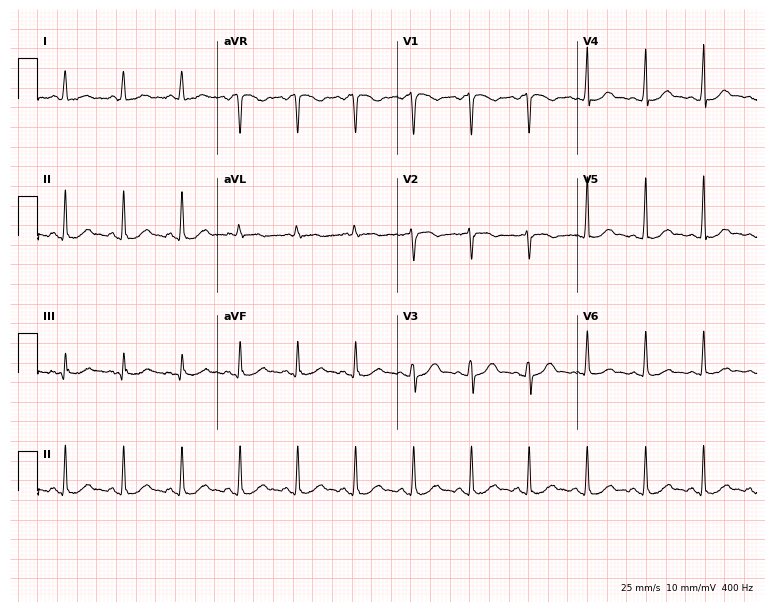
12-lead ECG (7.3-second recording at 400 Hz) from a 41-year-old female patient. Findings include sinus tachycardia (a sinus rate of 100 beats per minute or more).